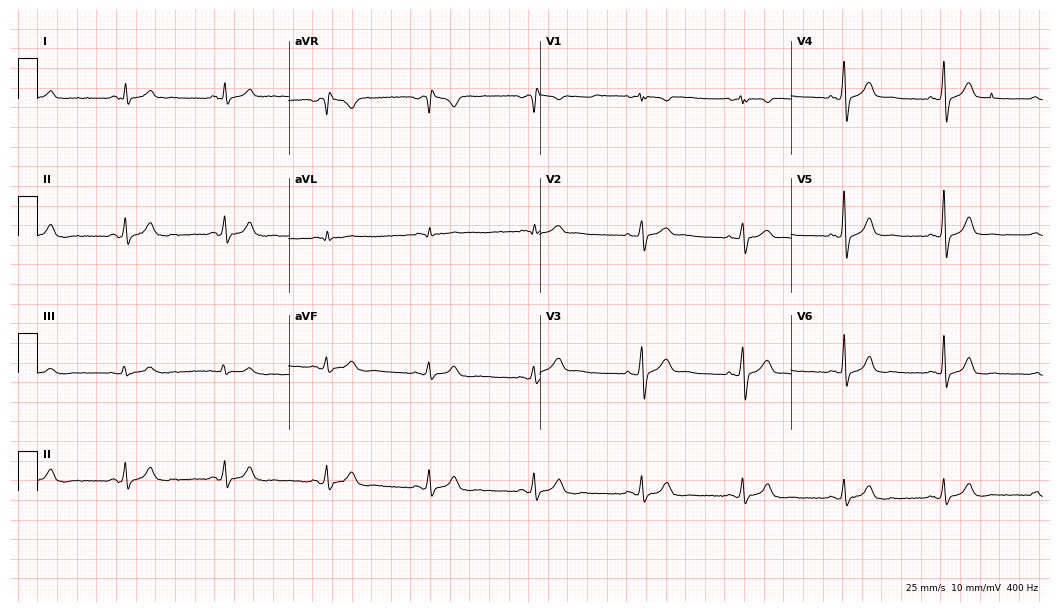
Standard 12-lead ECG recorded from a 53-year-old male (10.2-second recording at 400 Hz). Read as a normal ECG.